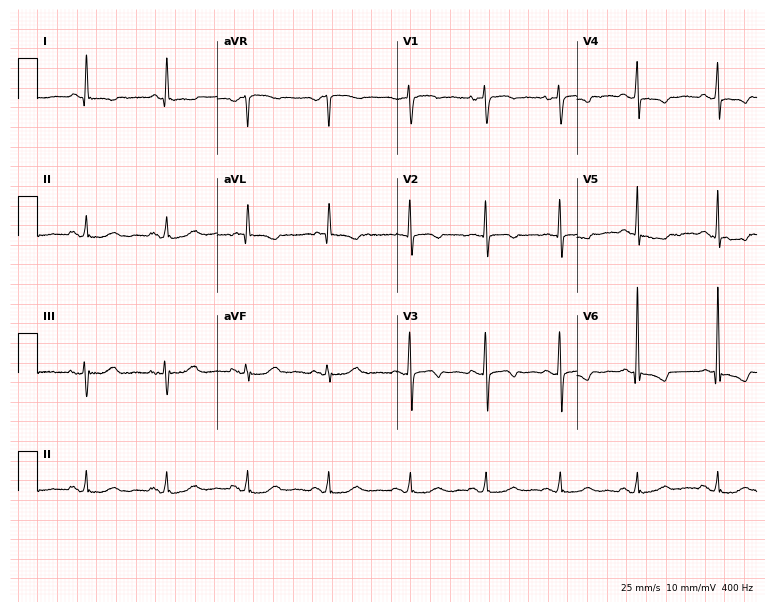
ECG — a 63-year-old female. Screened for six findings — first-degree AV block, right bundle branch block (RBBB), left bundle branch block (LBBB), sinus bradycardia, atrial fibrillation (AF), sinus tachycardia — none is recorded.